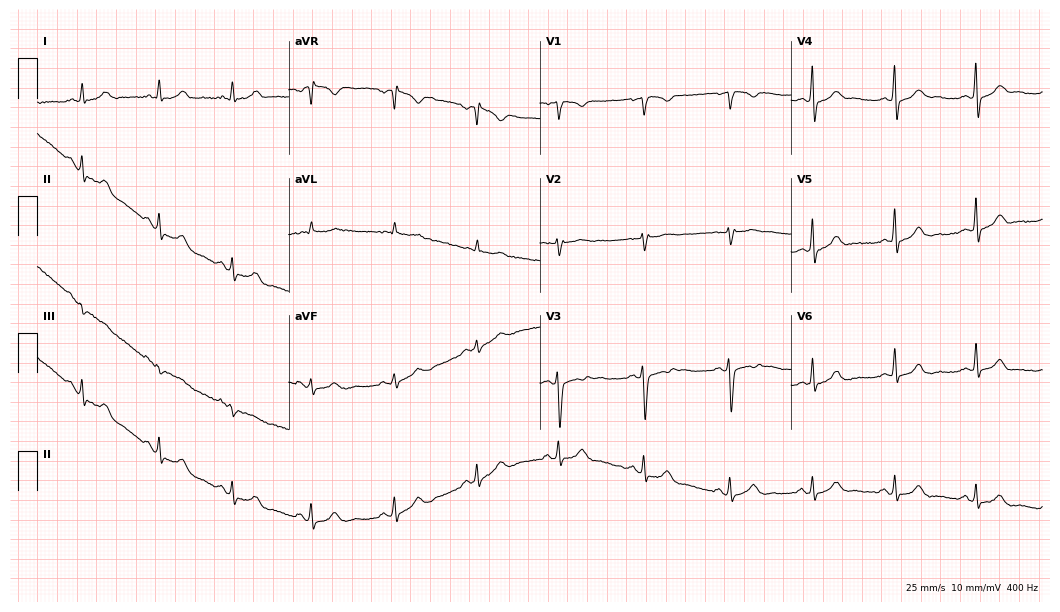
12-lead ECG from a woman, 28 years old (10.2-second recording at 400 Hz). No first-degree AV block, right bundle branch block, left bundle branch block, sinus bradycardia, atrial fibrillation or sinus tachycardia recorded for this tracing.